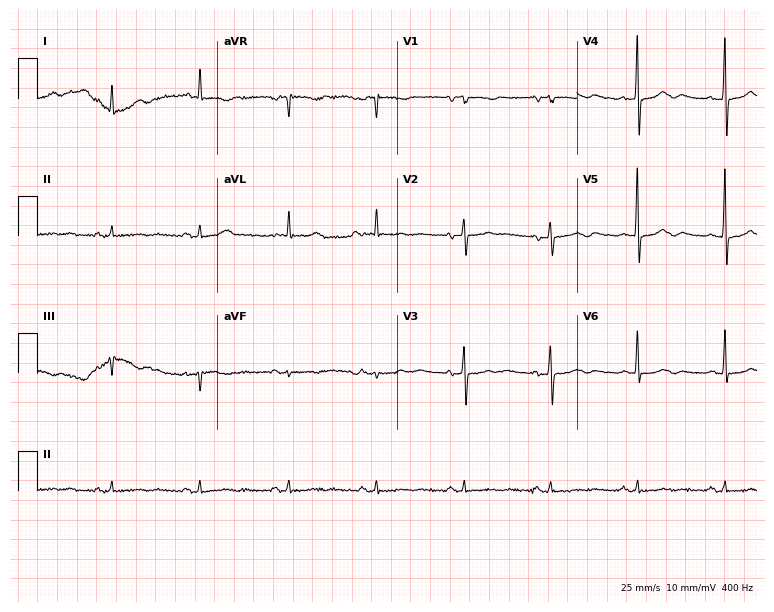
Resting 12-lead electrocardiogram. Patient: a female, 78 years old. None of these six findings is recorded: first-degree AV block, right bundle branch block, left bundle branch block, sinus bradycardia, atrial fibrillation, sinus tachycardia. Only these six findings were labelled.